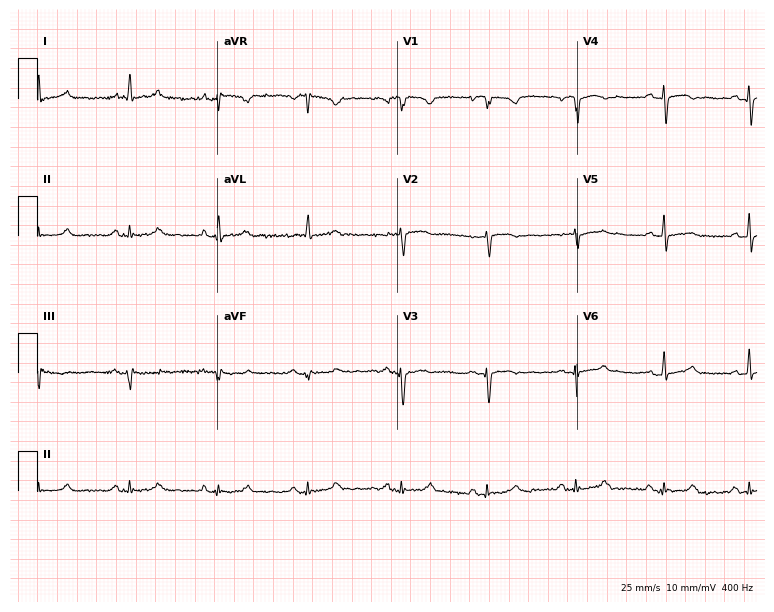
12-lead ECG (7.3-second recording at 400 Hz) from a man, 66 years old. Labelled as a normal ECG.